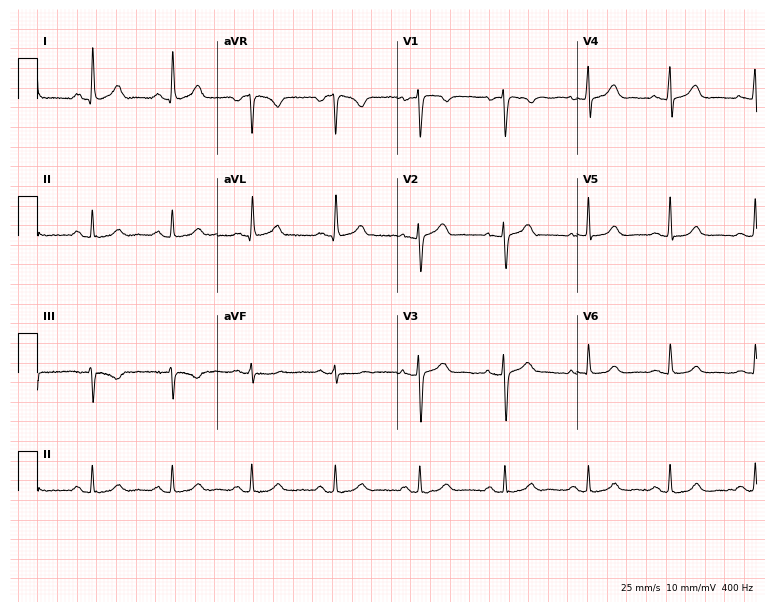
12-lead ECG (7.3-second recording at 400 Hz) from a woman, 44 years old. Labelled as a normal ECG.